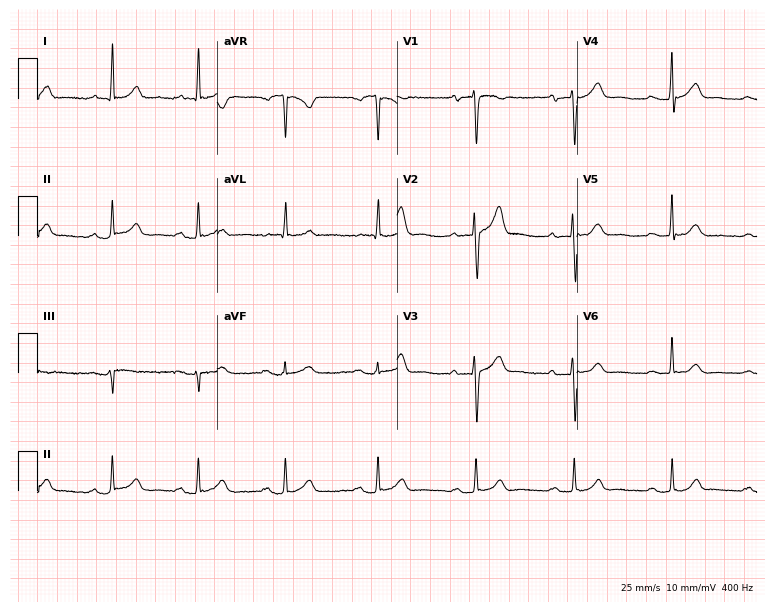
Resting 12-lead electrocardiogram. Patient: a 39-year-old male. The tracing shows first-degree AV block.